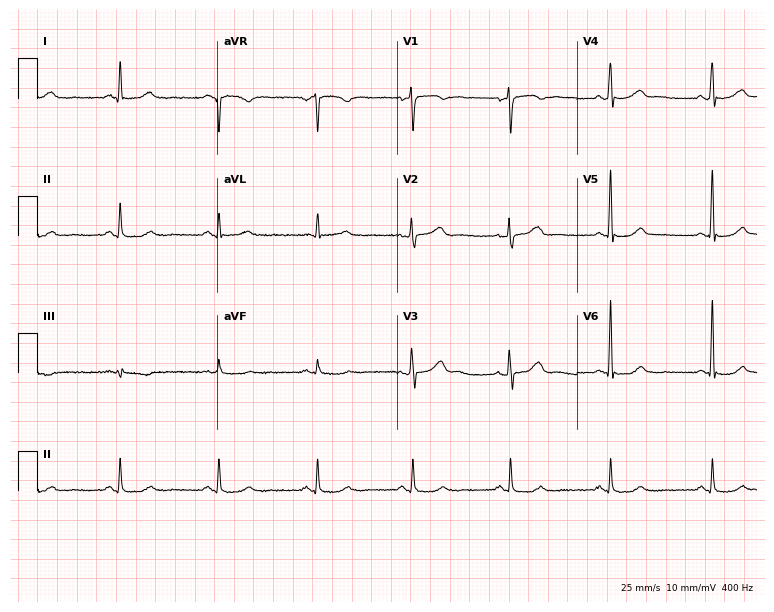
12-lead ECG from a 49-year-old woman. Screened for six findings — first-degree AV block, right bundle branch block, left bundle branch block, sinus bradycardia, atrial fibrillation, sinus tachycardia — none is recorded. Findings outside these six are not listed.